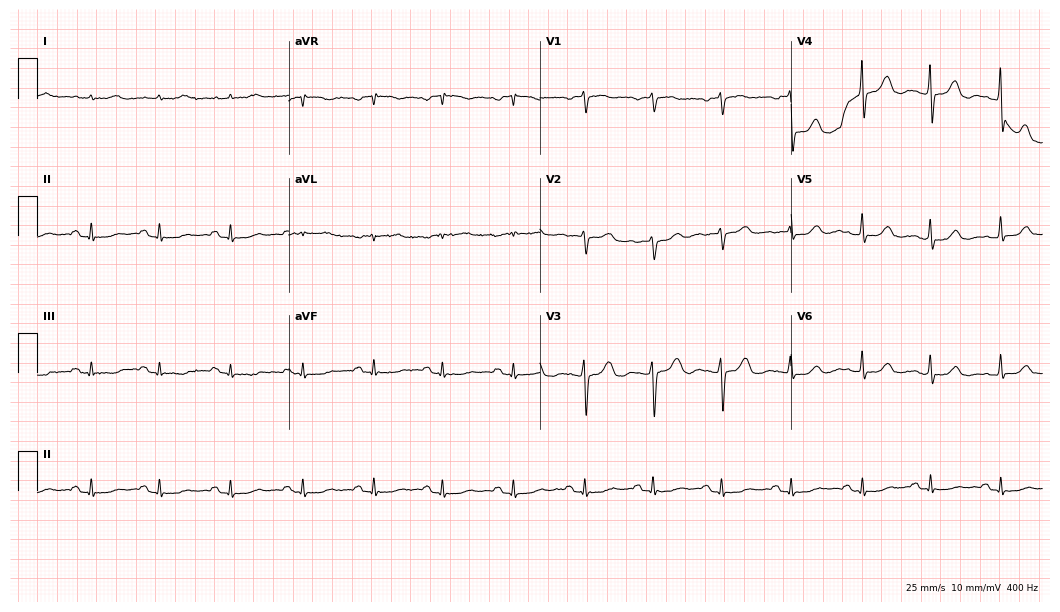
Resting 12-lead electrocardiogram. Patient: a 67-year-old male. Read as a normal ECG.